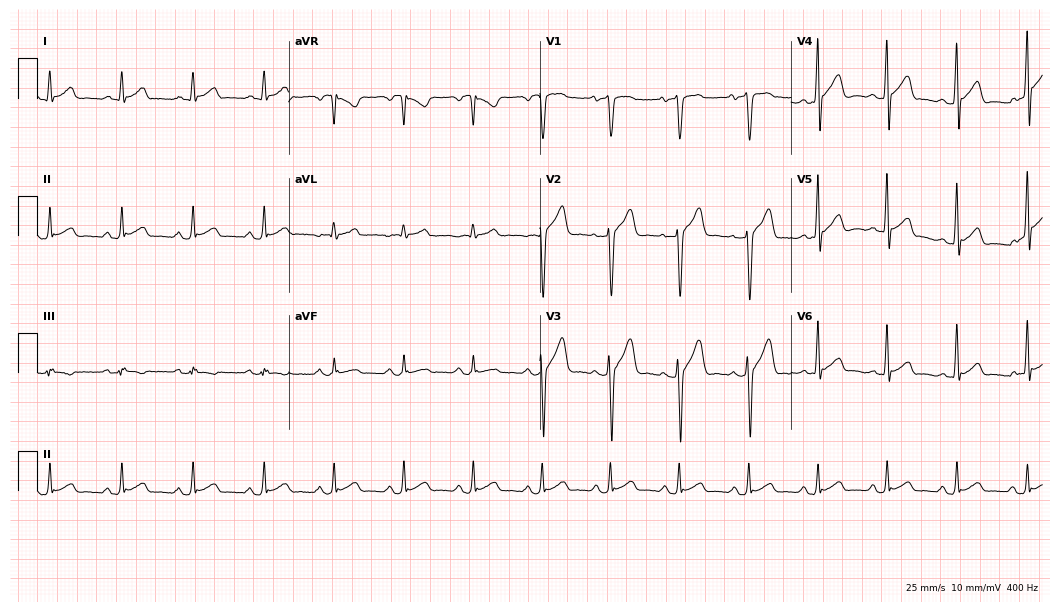
12-lead ECG from a man, 28 years old. Recorded interpretation: within normal limits.